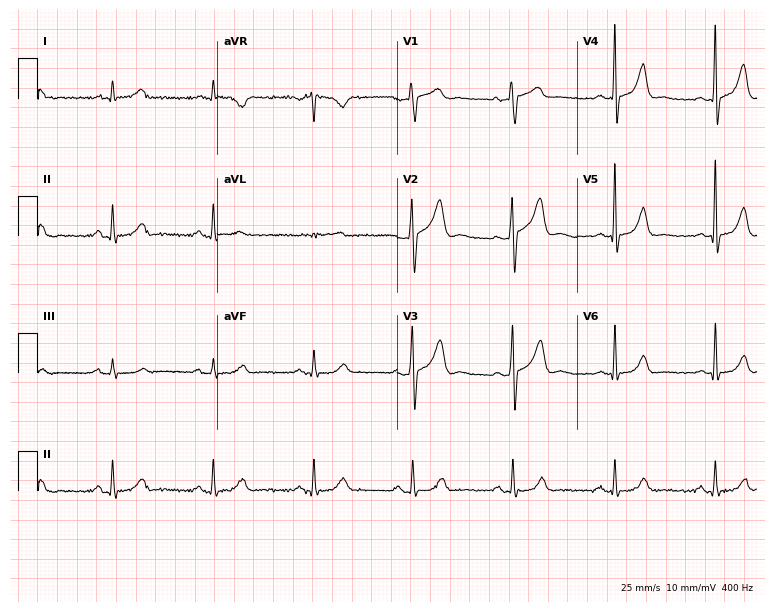
Electrocardiogram (7.3-second recording at 400 Hz), a 66-year-old male. Overall reading on record: normal ECG.